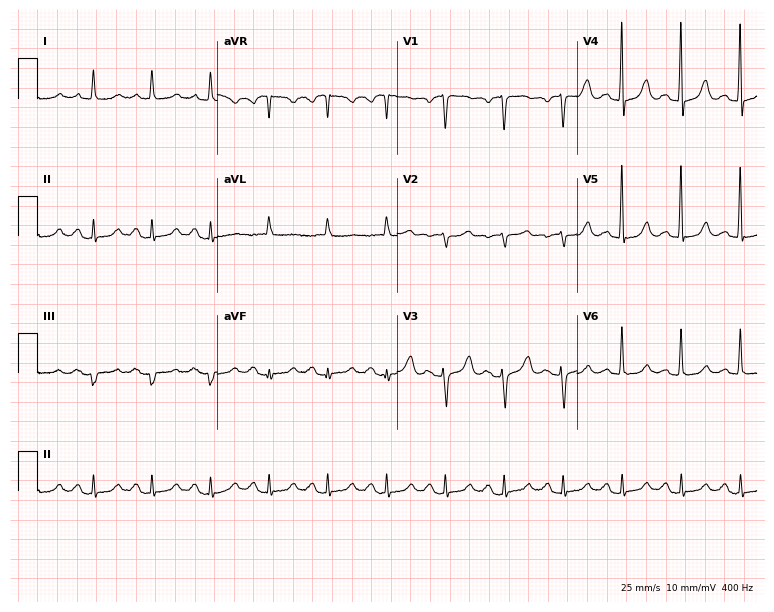
Resting 12-lead electrocardiogram (7.3-second recording at 400 Hz). Patient: a 79-year-old woman. None of these six findings is recorded: first-degree AV block, right bundle branch block (RBBB), left bundle branch block (LBBB), sinus bradycardia, atrial fibrillation (AF), sinus tachycardia.